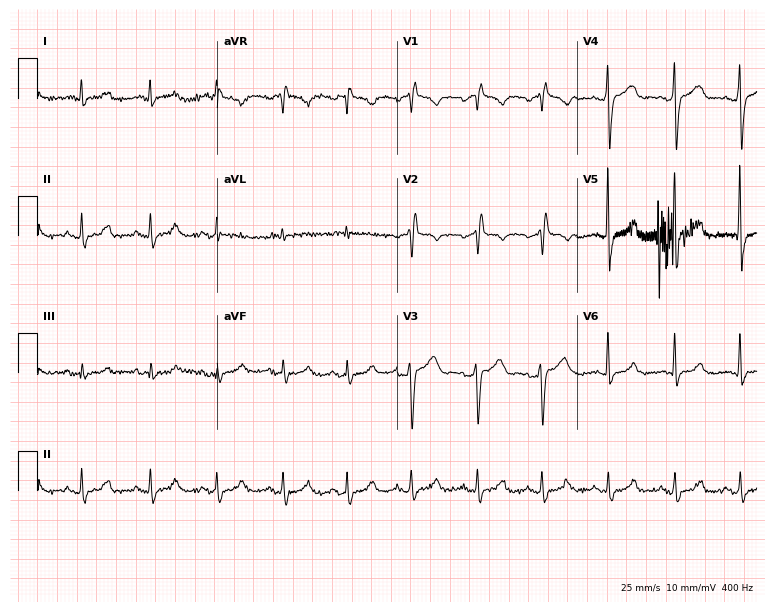
ECG (7.3-second recording at 400 Hz) — a male patient, 62 years old. Screened for six findings — first-degree AV block, right bundle branch block (RBBB), left bundle branch block (LBBB), sinus bradycardia, atrial fibrillation (AF), sinus tachycardia — none is recorded.